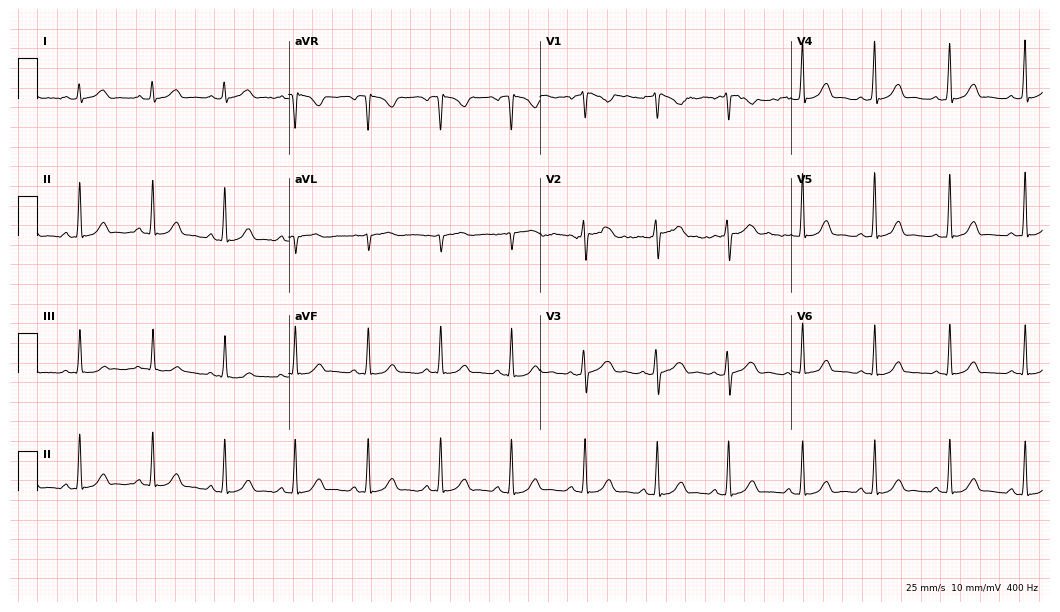
12-lead ECG from a 29-year-old woman (10.2-second recording at 400 Hz). Recorded interpretation: within normal limits.